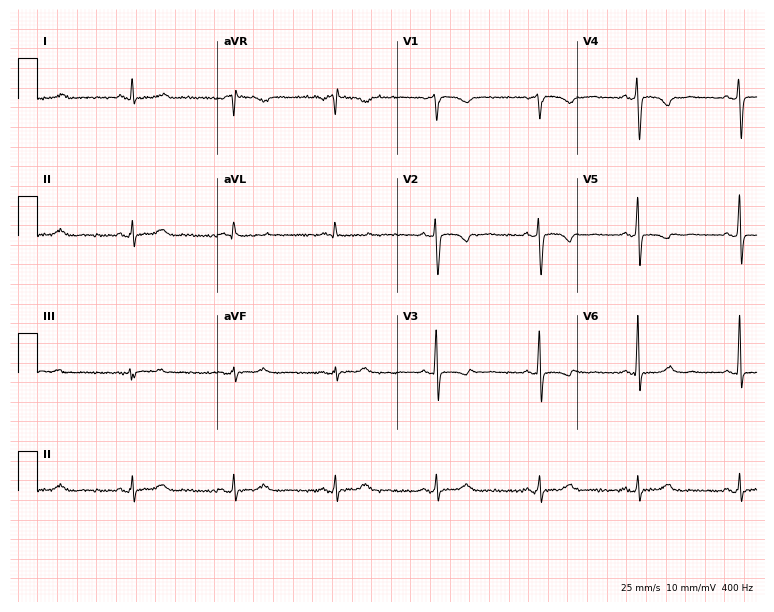
12-lead ECG from a female patient, 43 years old. No first-degree AV block, right bundle branch block (RBBB), left bundle branch block (LBBB), sinus bradycardia, atrial fibrillation (AF) or sinus tachycardia recorded for this tracing. Only these six findings were labelled.